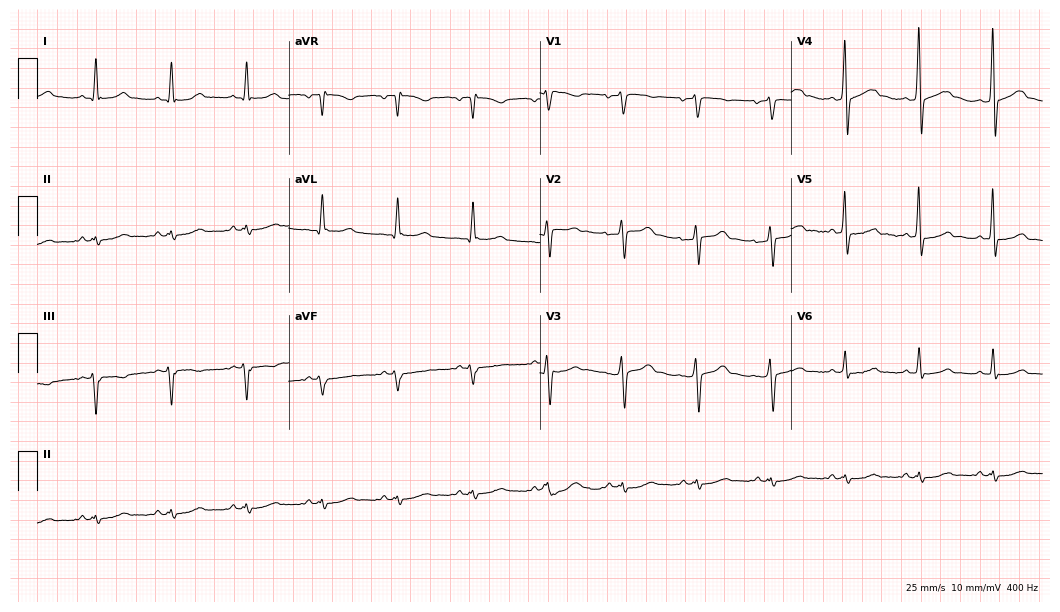
Resting 12-lead electrocardiogram (10.2-second recording at 400 Hz). Patient: a male, 57 years old. Read as a normal ECG.